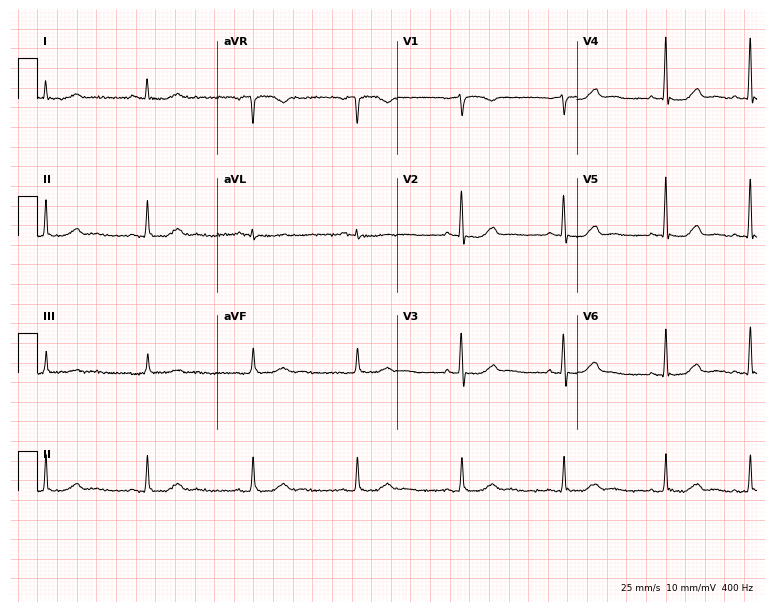
Resting 12-lead electrocardiogram. Patient: a 76-year-old female. Read as a normal ECG.